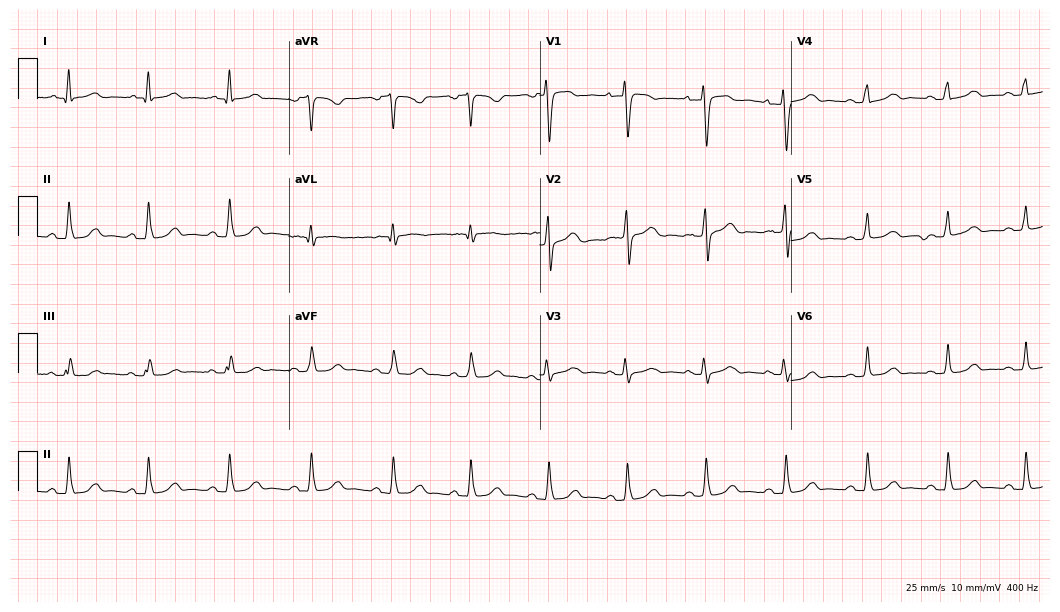
Standard 12-lead ECG recorded from a 43-year-old female patient (10.2-second recording at 400 Hz). None of these six findings is recorded: first-degree AV block, right bundle branch block, left bundle branch block, sinus bradycardia, atrial fibrillation, sinus tachycardia.